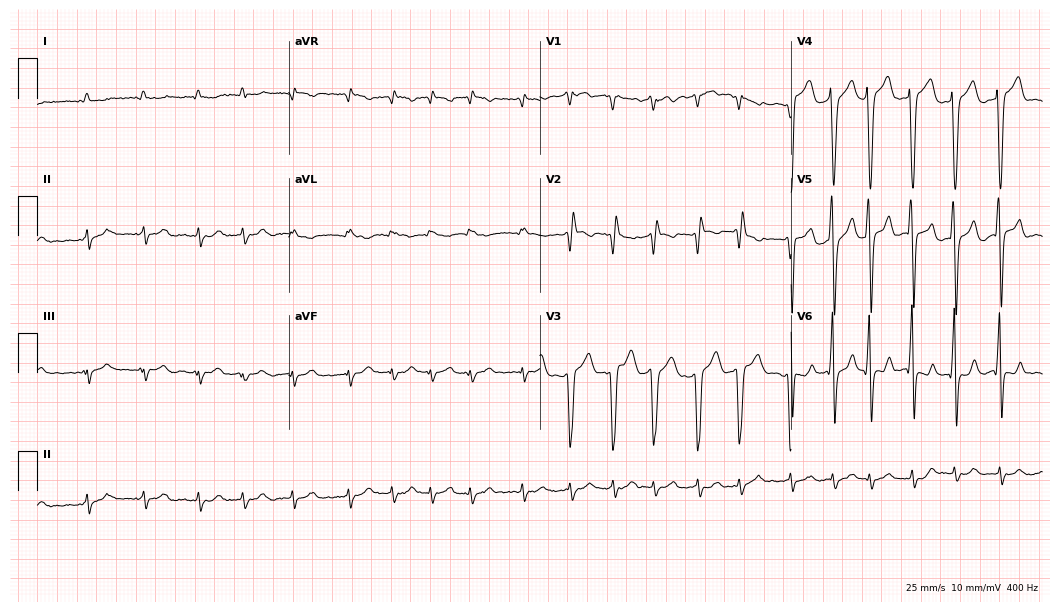
12-lead ECG from a 79-year-old male patient. Findings include atrial fibrillation, sinus tachycardia (a sinus rate of 100 beats per minute or more).